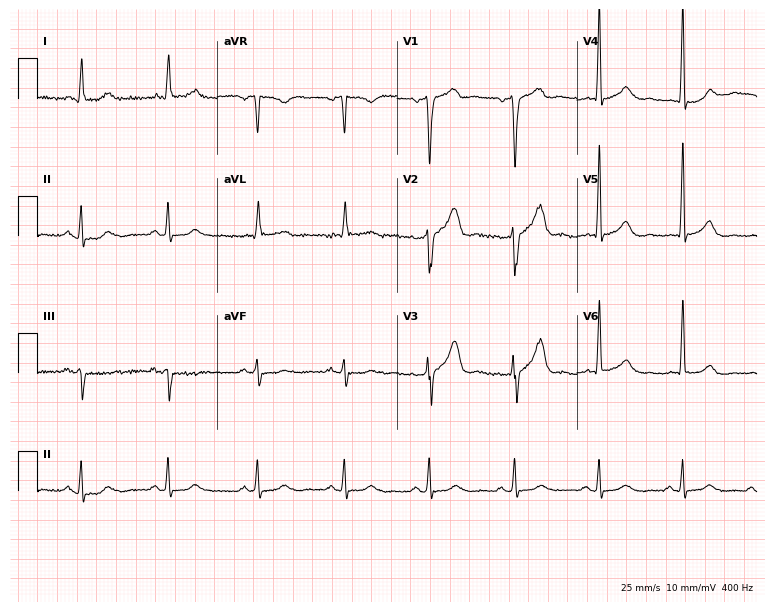
Standard 12-lead ECG recorded from a man, 59 years old. Read as a normal ECG.